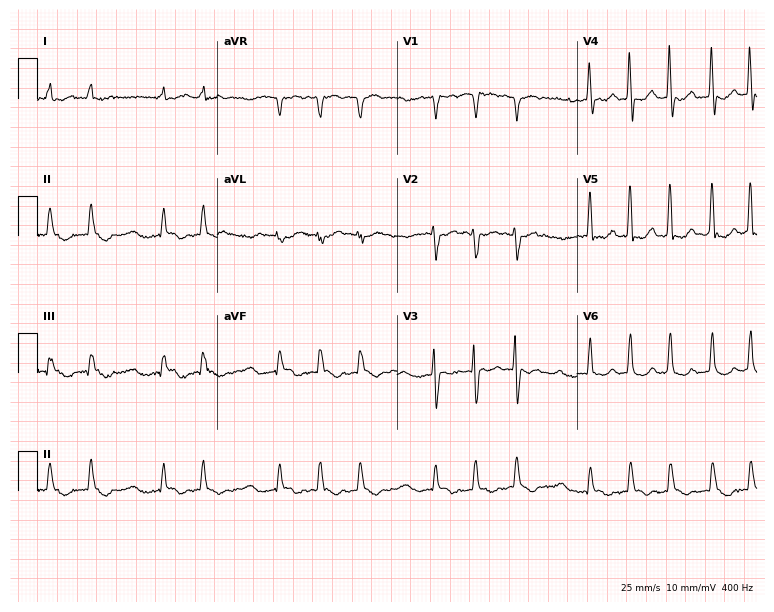
12-lead ECG from a female, 63 years old (7.3-second recording at 400 Hz). Shows atrial fibrillation.